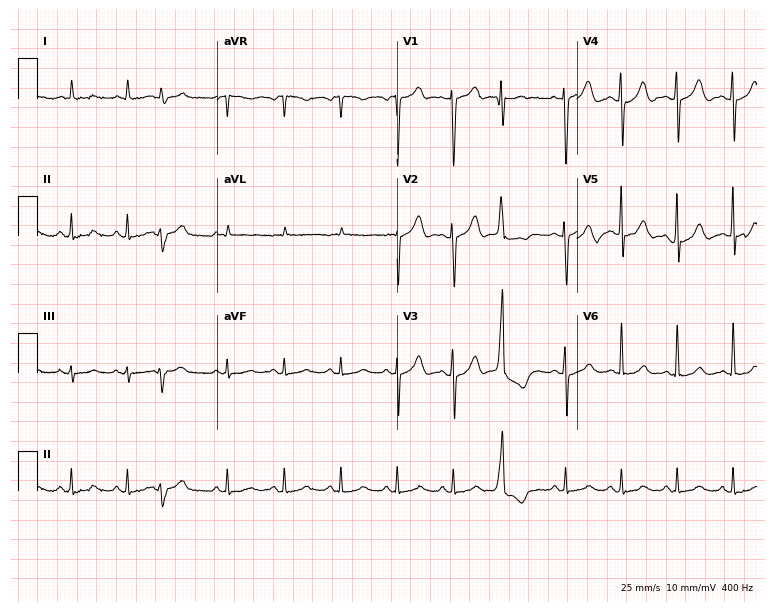
Electrocardiogram, a male, 74 years old. Of the six screened findings (first-degree AV block, right bundle branch block, left bundle branch block, sinus bradycardia, atrial fibrillation, sinus tachycardia), none is recorded.